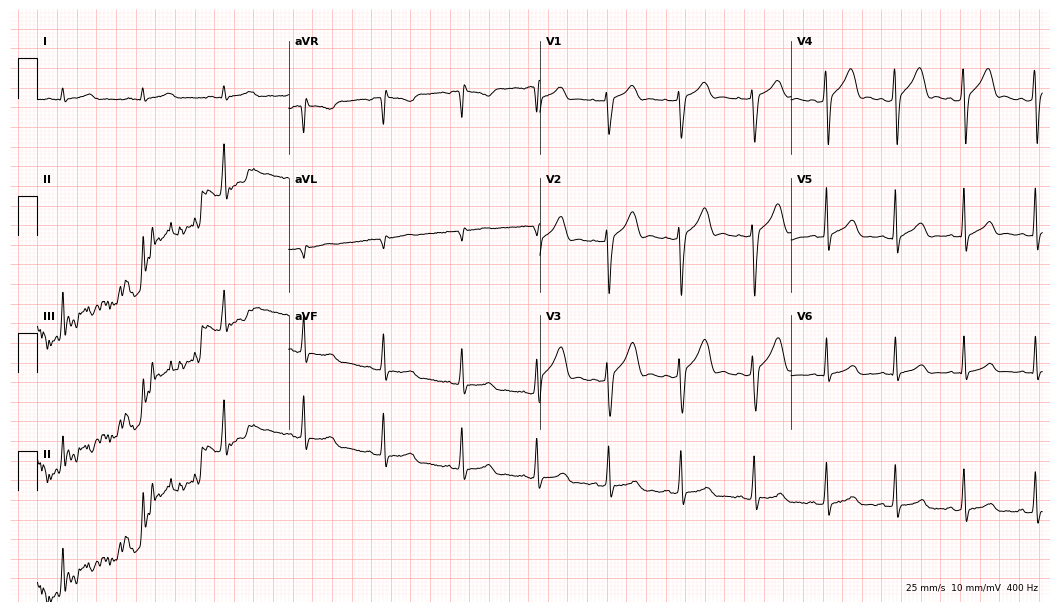
Standard 12-lead ECG recorded from a 26-year-old man. Read as a normal ECG.